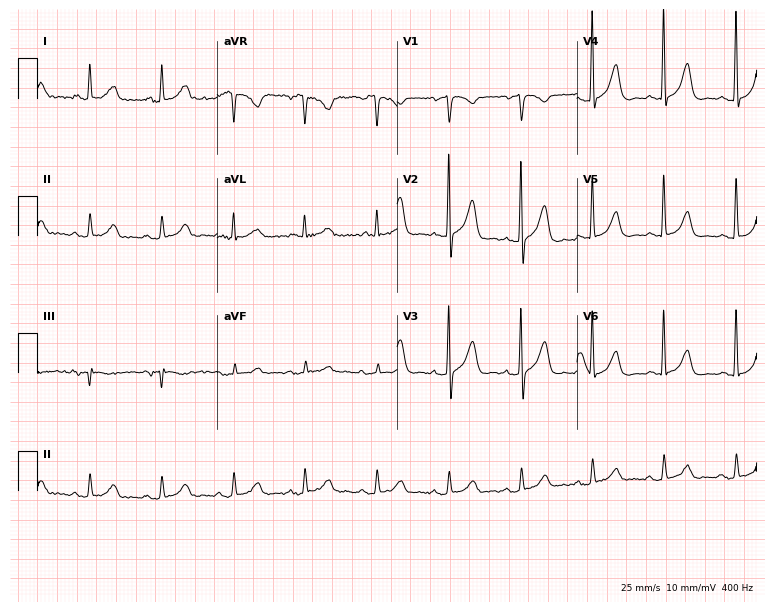
Electrocardiogram (7.3-second recording at 400 Hz), a woman, 70 years old. Of the six screened findings (first-degree AV block, right bundle branch block, left bundle branch block, sinus bradycardia, atrial fibrillation, sinus tachycardia), none is recorded.